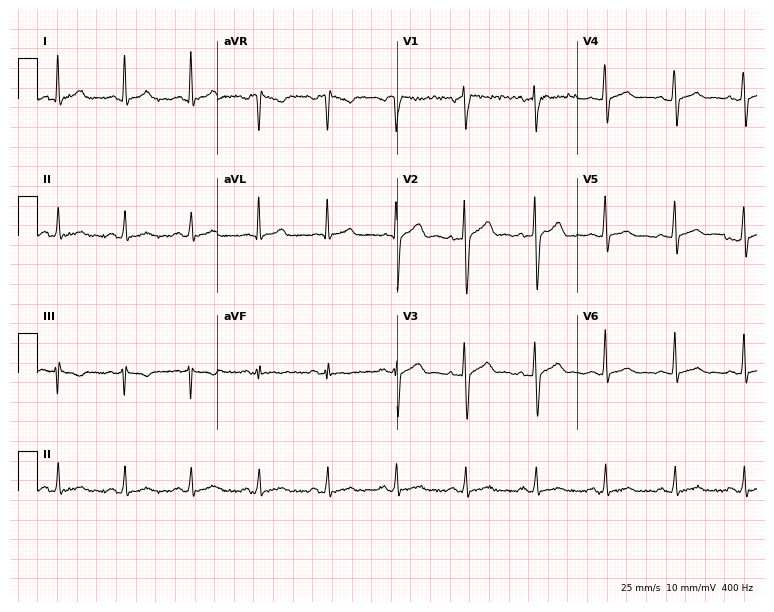
Standard 12-lead ECG recorded from a male, 38 years old. Read as a normal ECG.